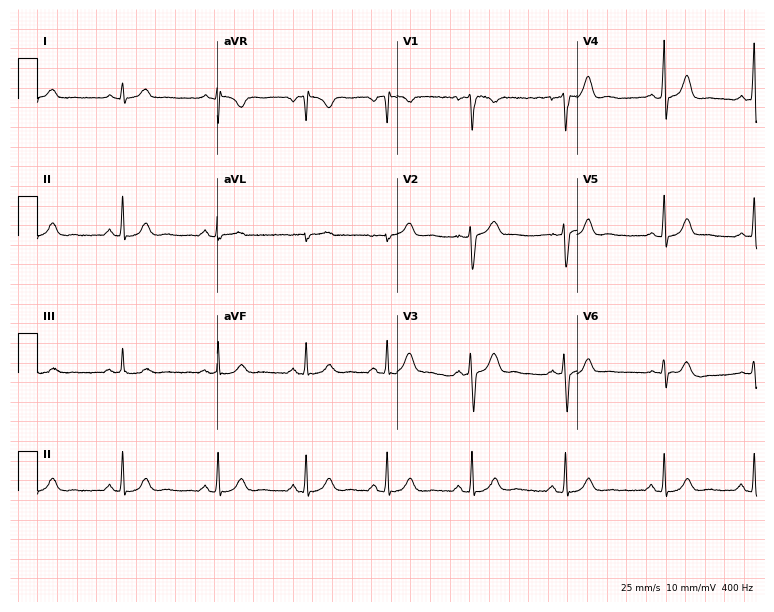
Resting 12-lead electrocardiogram. Patient: a female, 25 years old. None of these six findings is recorded: first-degree AV block, right bundle branch block, left bundle branch block, sinus bradycardia, atrial fibrillation, sinus tachycardia. Only these six findings were labelled.